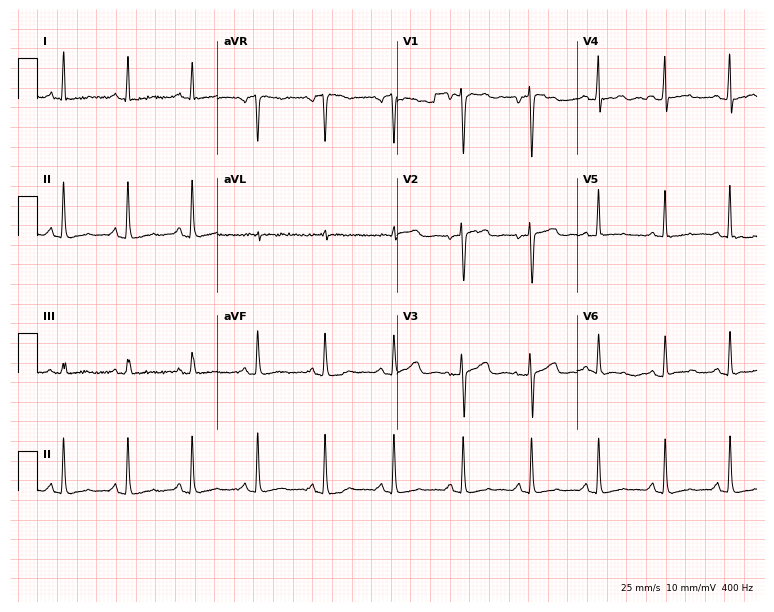
Electrocardiogram, a 55-year-old woman. Overall reading on record: normal ECG.